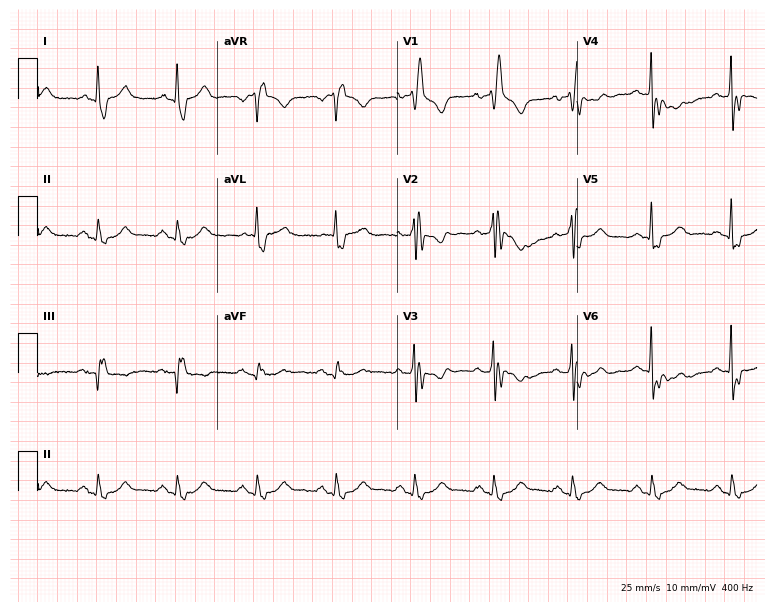
Standard 12-lead ECG recorded from a 61-year-old male (7.3-second recording at 400 Hz). None of these six findings is recorded: first-degree AV block, right bundle branch block (RBBB), left bundle branch block (LBBB), sinus bradycardia, atrial fibrillation (AF), sinus tachycardia.